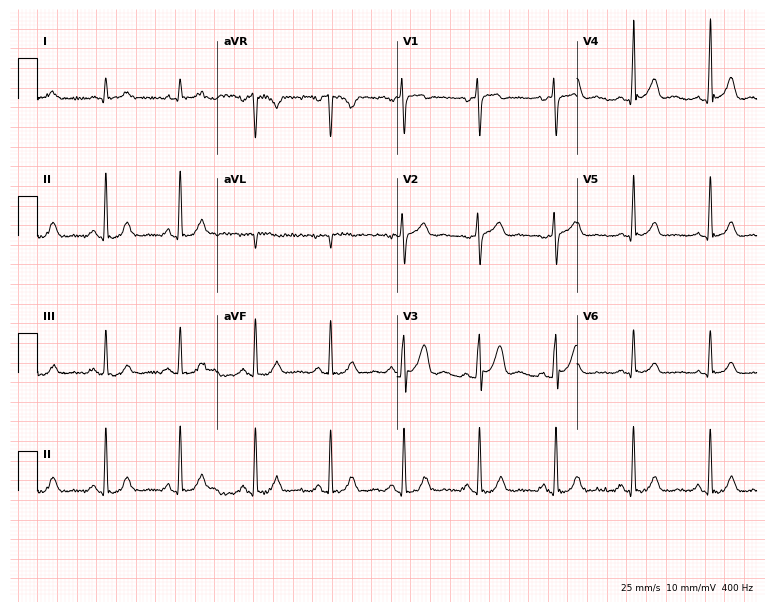
Resting 12-lead electrocardiogram. Patient: a man, 32 years old. Read as a normal ECG.